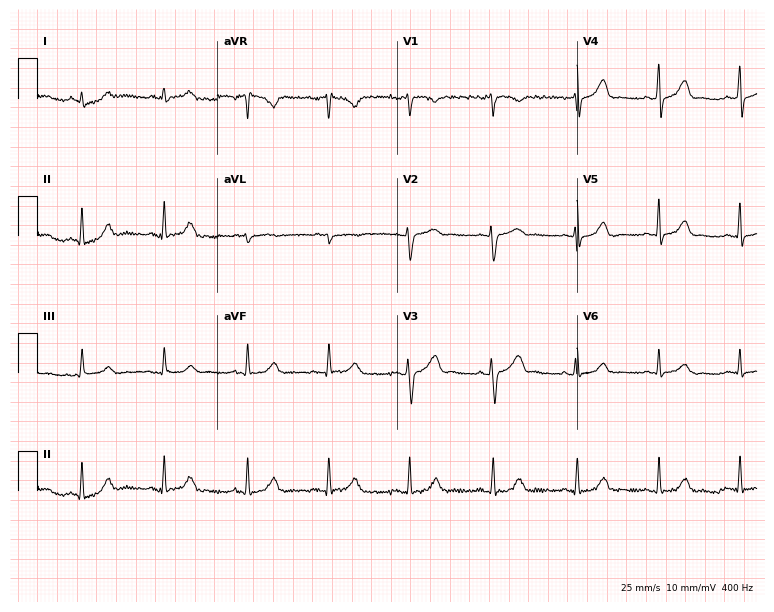
ECG (7.3-second recording at 400 Hz) — a woman, 48 years old. Labelled as a normal ECG.